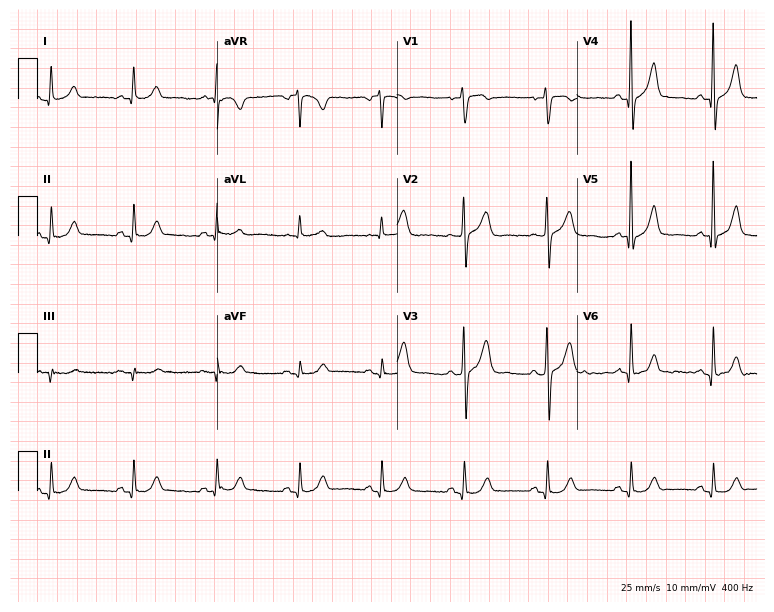
Electrocardiogram (7.3-second recording at 400 Hz), a 68-year-old male. Overall reading on record: normal ECG.